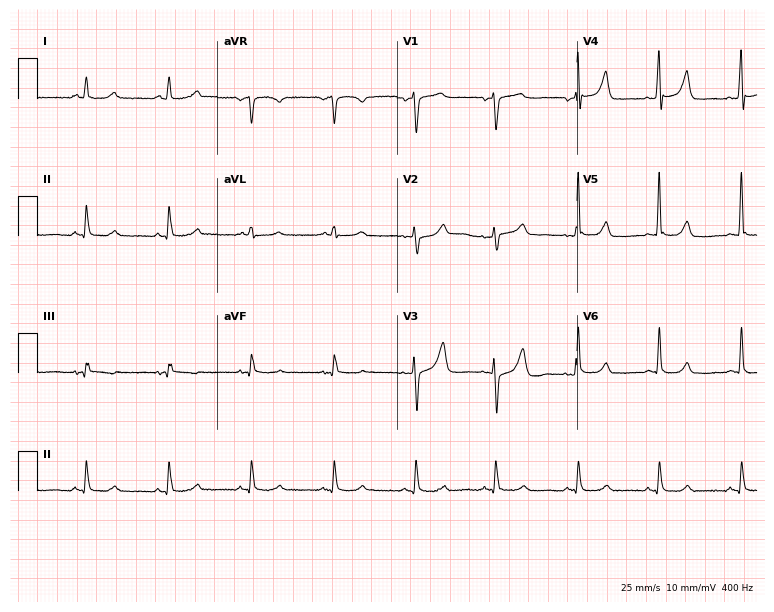
12-lead ECG from a 71-year-old woman. Screened for six findings — first-degree AV block, right bundle branch block, left bundle branch block, sinus bradycardia, atrial fibrillation, sinus tachycardia — none is recorded. Only these six findings were labelled.